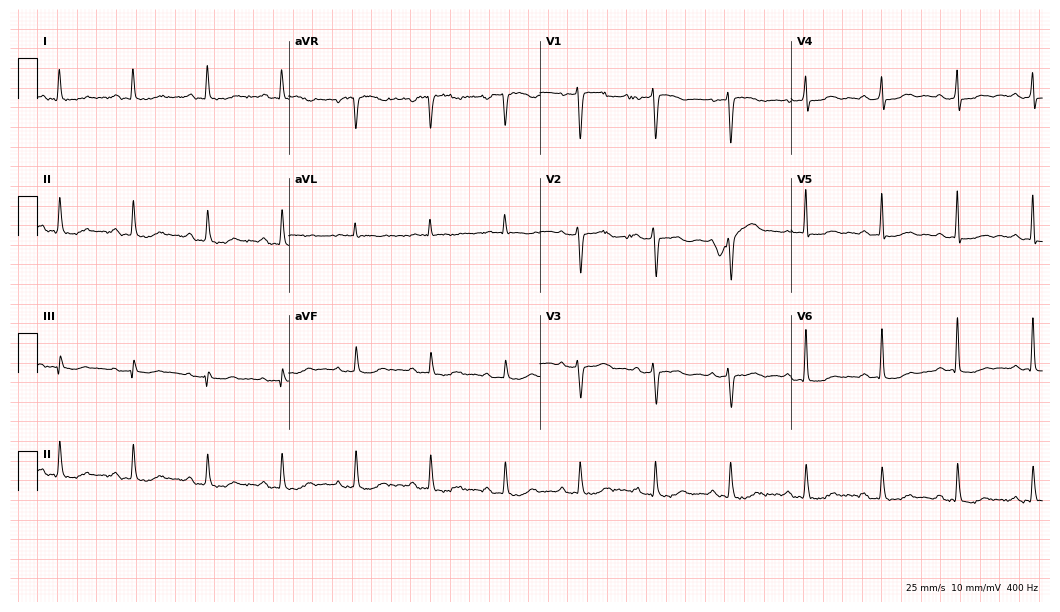
Electrocardiogram, a female patient, 74 years old. Overall reading on record: normal ECG.